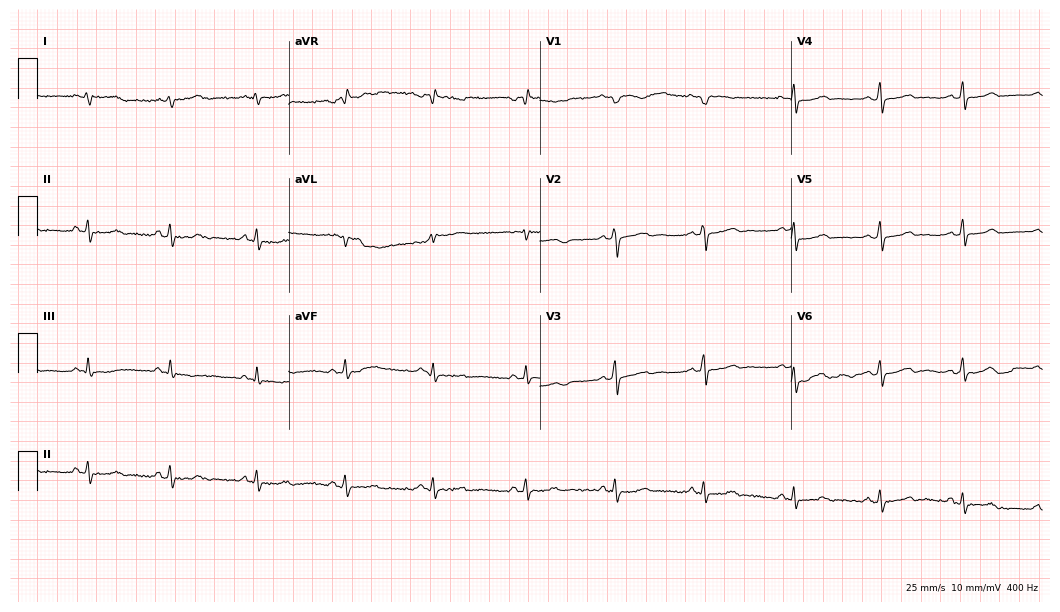
ECG — a female, 29 years old. Screened for six findings — first-degree AV block, right bundle branch block (RBBB), left bundle branch block (LBBB), sinus bradycardia, atrial fibrillation (AF), sinus tachycardia — none is recorded.